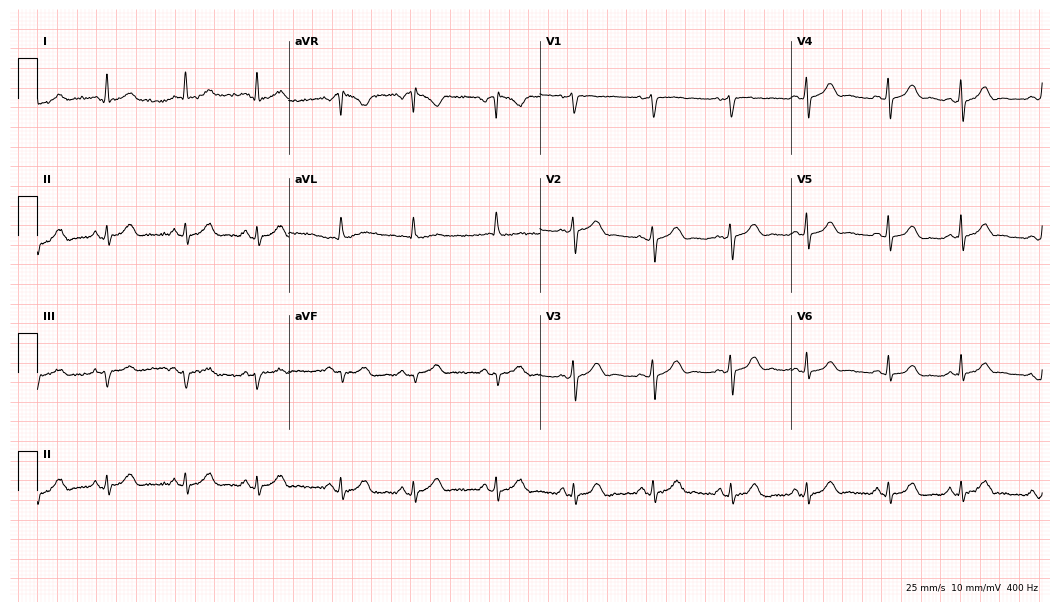
ECG (10.2-second recording at 400 Hz) — a 63-year-old woman. Screened for six findings — first-degree AV block, right bundle branch block (RBBB), left bundle branch block (LBBB), sinus bradycardia, atrial fibrillation (AF), sinus tachycardia — none is recorded. Findings outside these six are not listed.